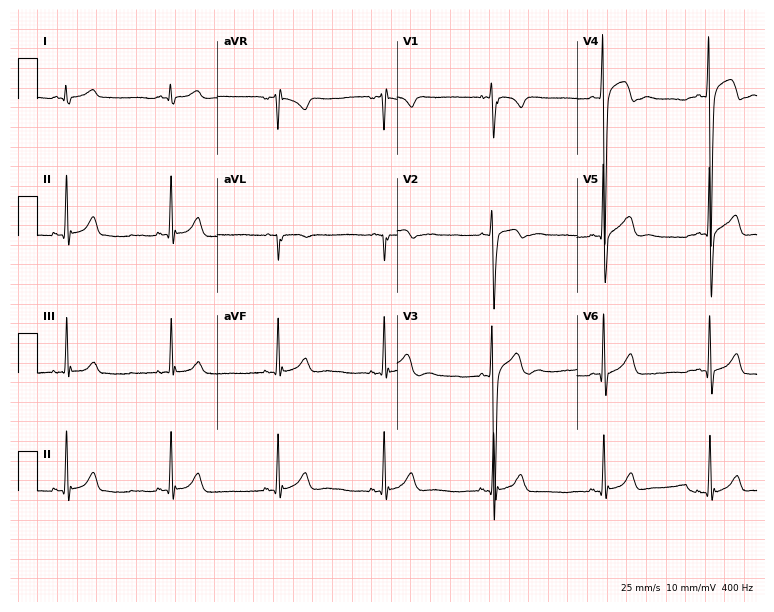
Resting 12-lead electrocardiogram (7.3-second recording at 400 Hz). Patient: a man, 17 years old. None of these six findings is recorded: first-degree AV block, right bundle branch block, left bundle branch block, sinus bradycardia, atrial fibrillation, sinus tachycardia. Other findings, if any, are not listed.